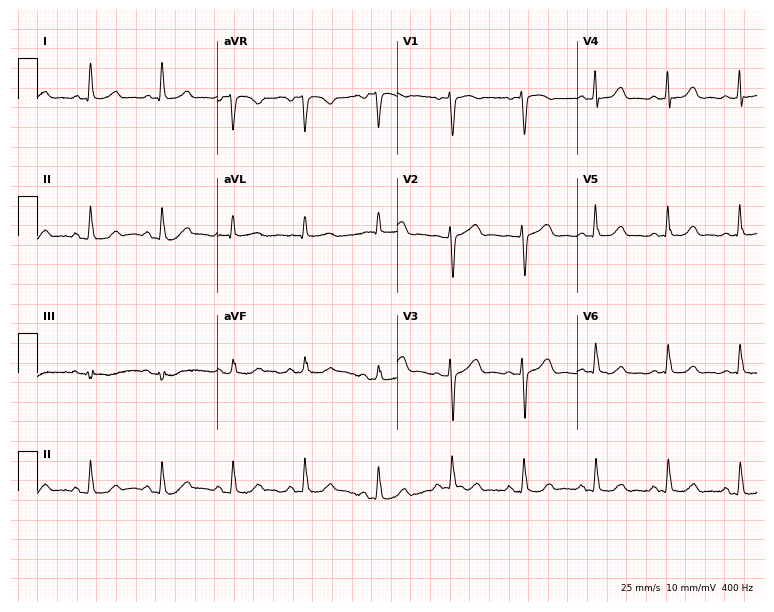
ECG (7.3-second recording at 400 Hz) — a female, 66 years old. Labelled as a normal ECG.